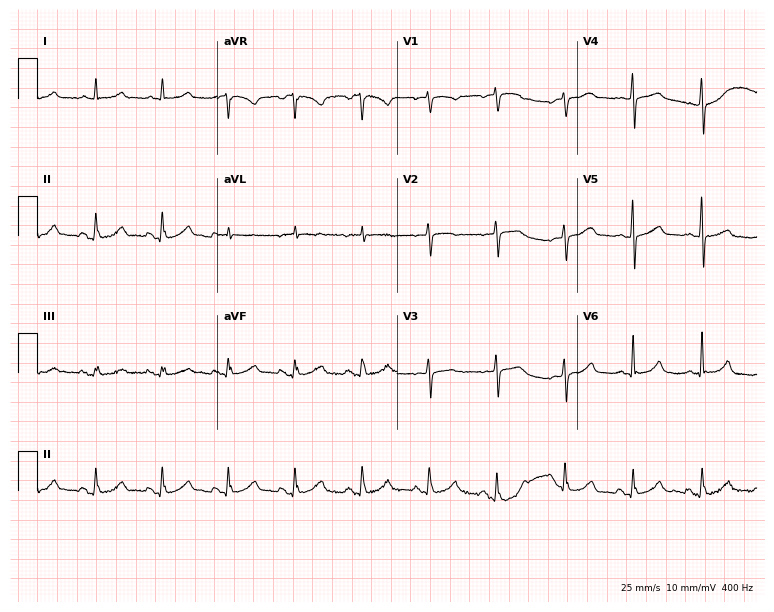
12-lead ECG (7.3-second recording at 400 Hz) from a woman, 62 years old. Screened for six findings — first-degree AV block, right bundle branch block, left bundle branch block, sinus bradycardia, atrial fibrillation, sinus tachycardia — none is recorded. Other findings, if any, are not listed.